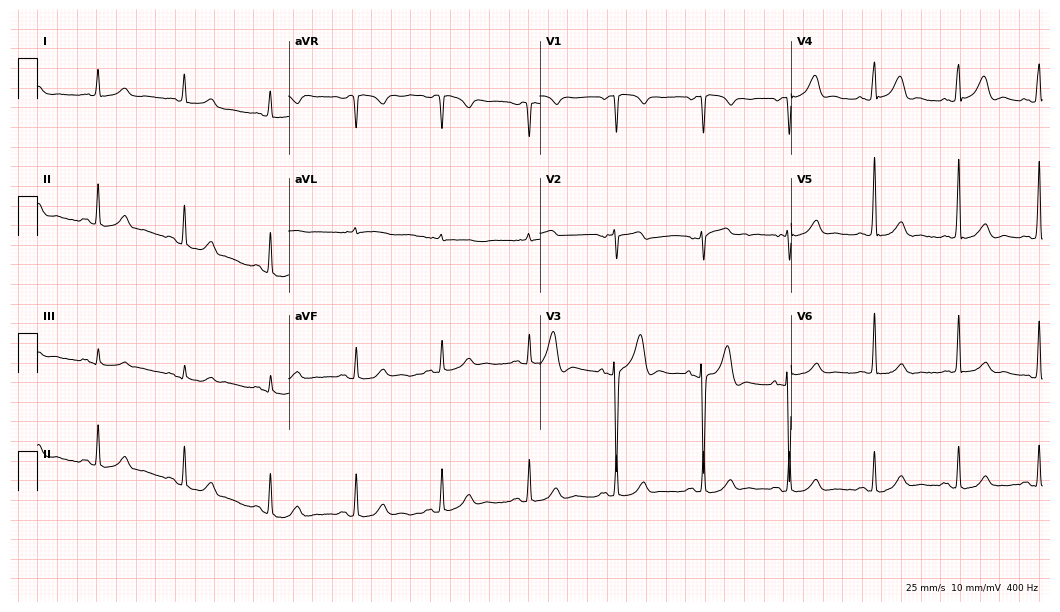
12-lead ECG (10.2-second recording at 400 Hz) from a male, 69 years old. Labelled as a normal ECG.